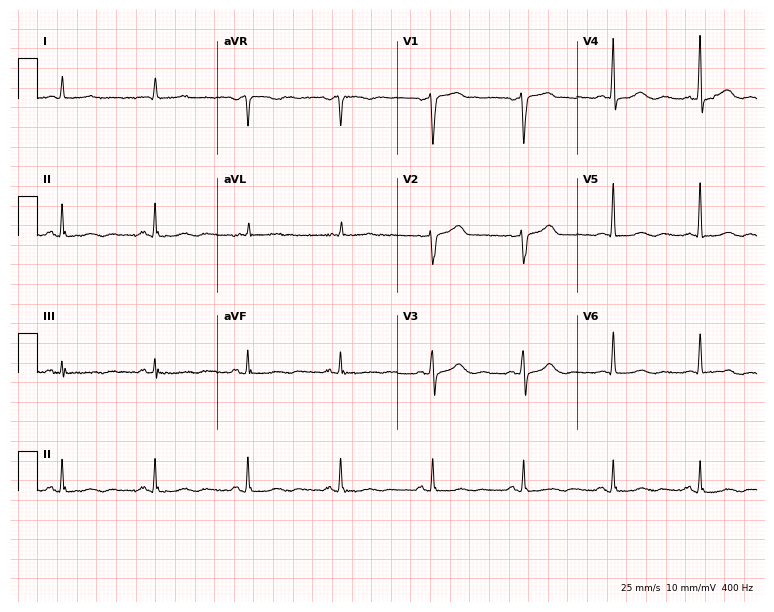
Electrocardiogram, a female patient, 56 years old. Of the six screened findings (first-degree AV block, right bundle branch block, left bundle branch block, sinus bradycardia, atrial fibrillation, sinus tachycardia), none is recorded.